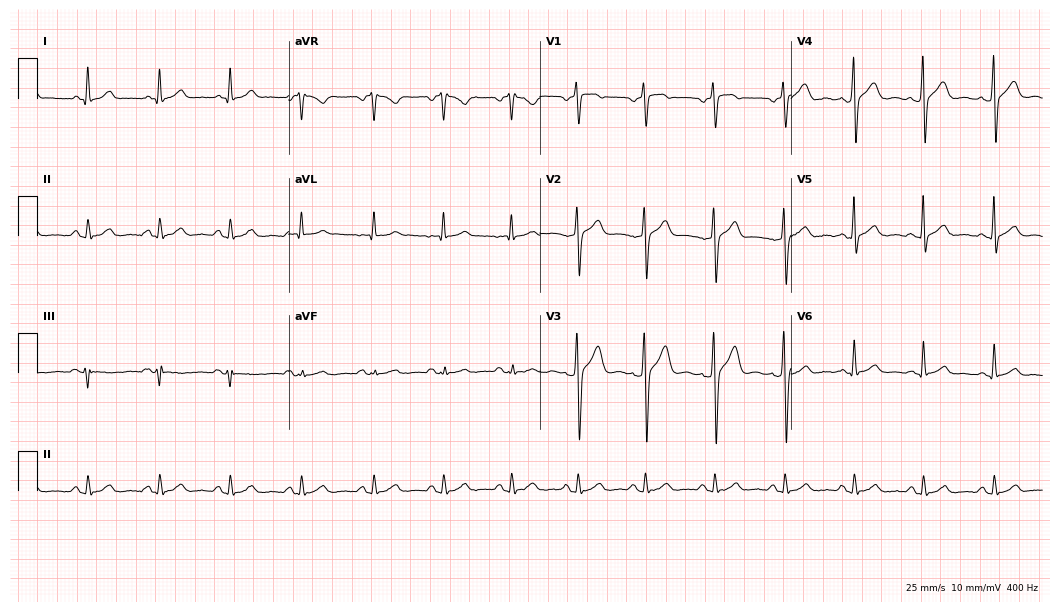
Electrocardiogram (10.2-second recording at 400 Hz), a 40-year-old male patient. Overall reading on record: normal ECG.